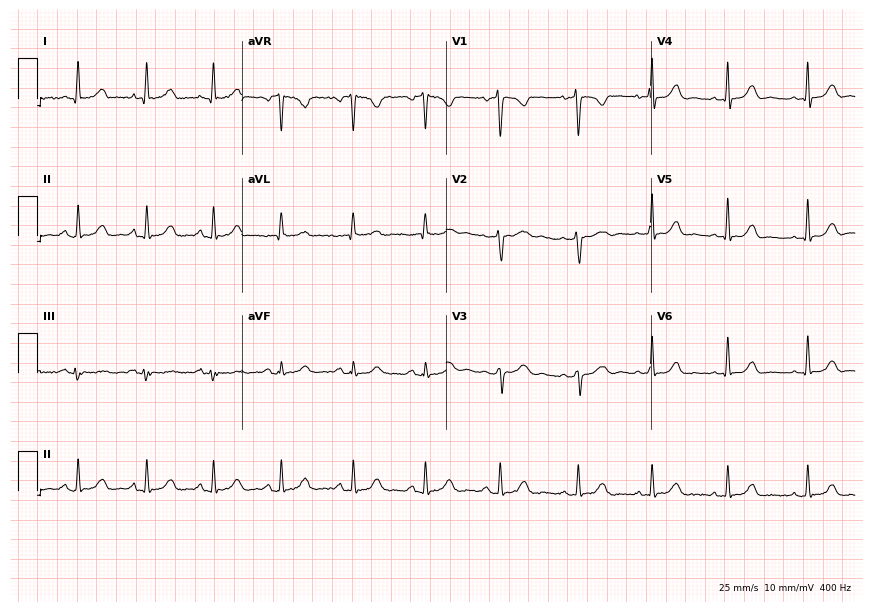
Resting 12-lead electrocardiogram. Patient: a 44-year-old woman. Read as a normal ECG.